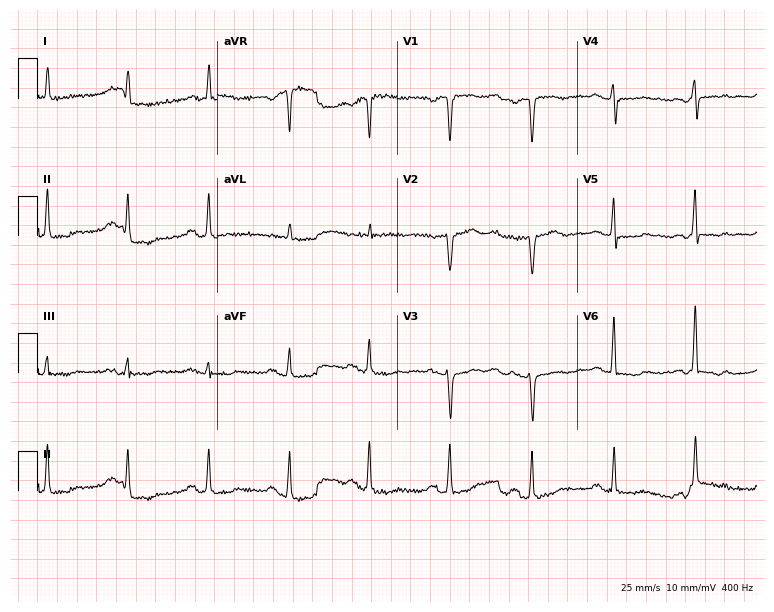
12-lead ECG from a 79-year-old female patient. Labelled as a normal ECG.